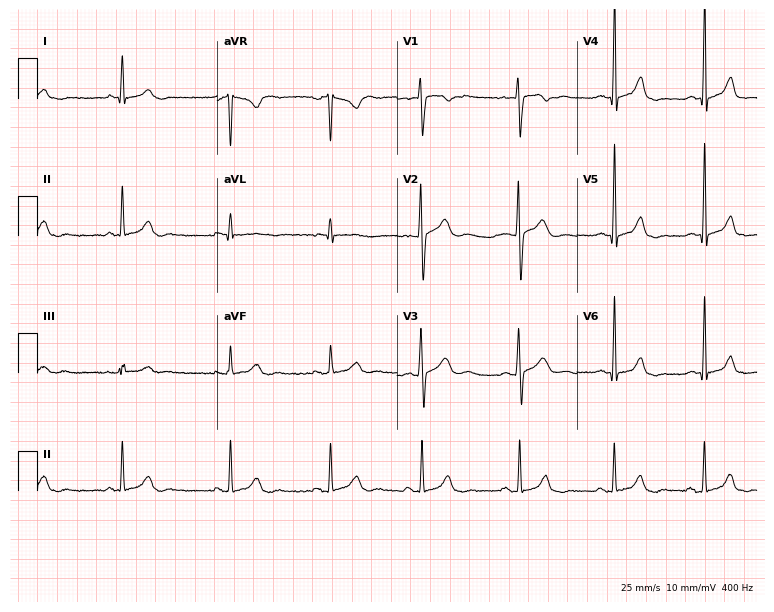
ECG (7.3-second recording at 400 Hz) — a female patient, 34 years old. Labelled as a normal ECG.